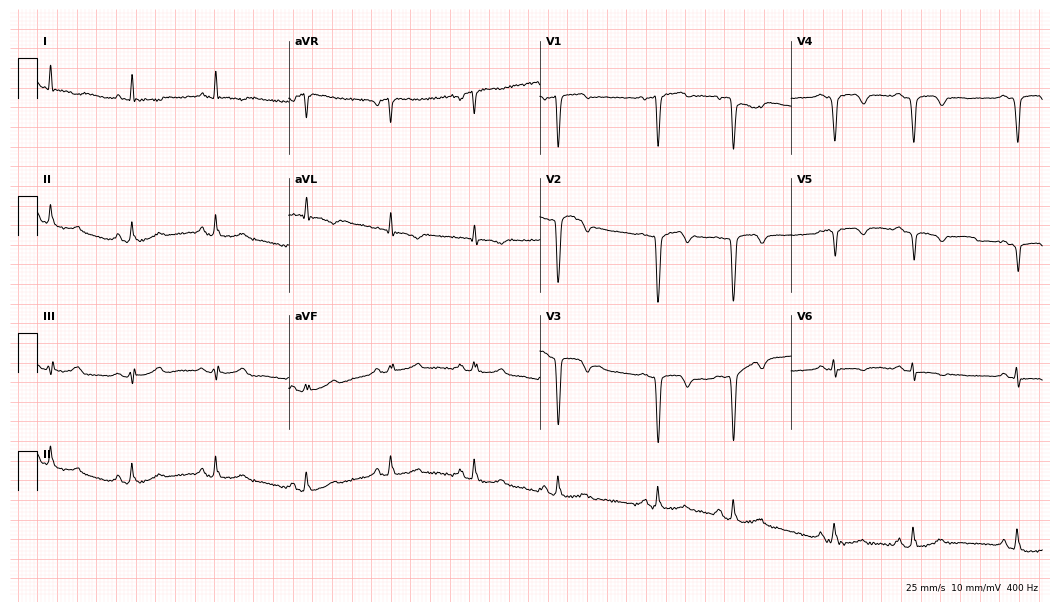
12-lead ECG from a man, 58 years old. Screened for six findings — first-degree AV block, right bundle branch block, left bundle branch block, sinus bradycardia, atrial fibrillation, sinus tachycardia — none is recorded.